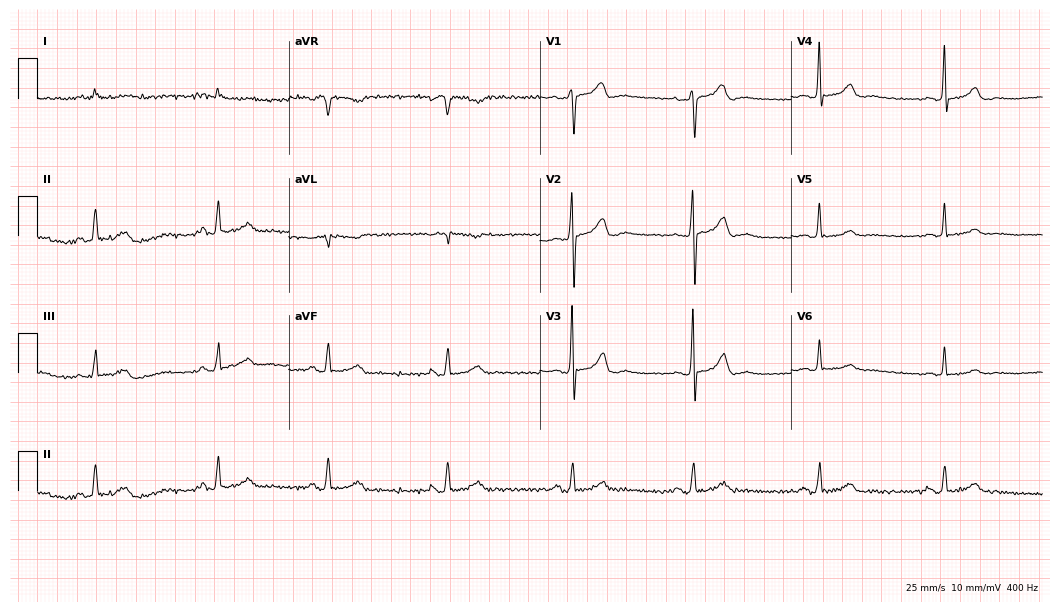
12-lead ECG (10.2-second recording at 400 Hz) from a man, 77 years old. Screened for six findings — first-degree AV block, right bundle branch block, left bundle branch block, sinus bradycardia, atrial fibrillation, sinus tachycardia — none is recorded.